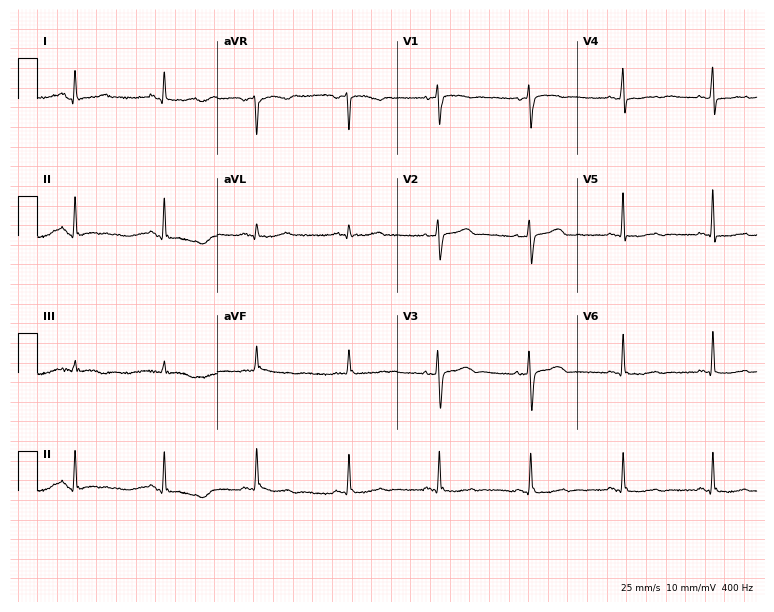
12-lead ECG from a 62-year-old woman. Screened for six findings — first-degree AV block, right bundle branch block (RBBB), left bundle branch block (LBBB), sinus bradycardia, atrial fibrillation (AF), sinus tachycardia — none is recorded. Other findings, if any, are not listed.